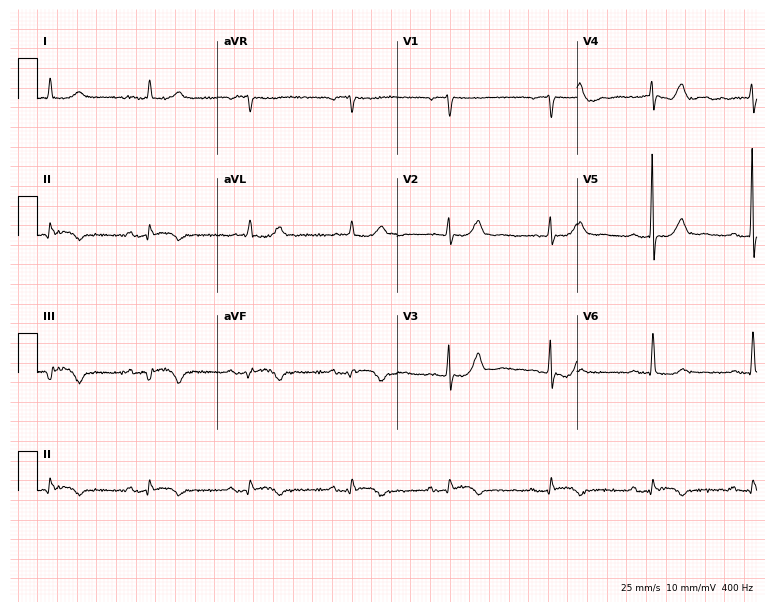
Standard 12-lead ECG recorded from a woman, 76 years old (7.3-second recording at 400 Hz). None of these six findings is recorded: first-degree AV block, right bundle branch block, left bundle branch block, sinus bradycardia, atrial fibrillation, sinus tachycardia. Other findings, if any, are not listed.